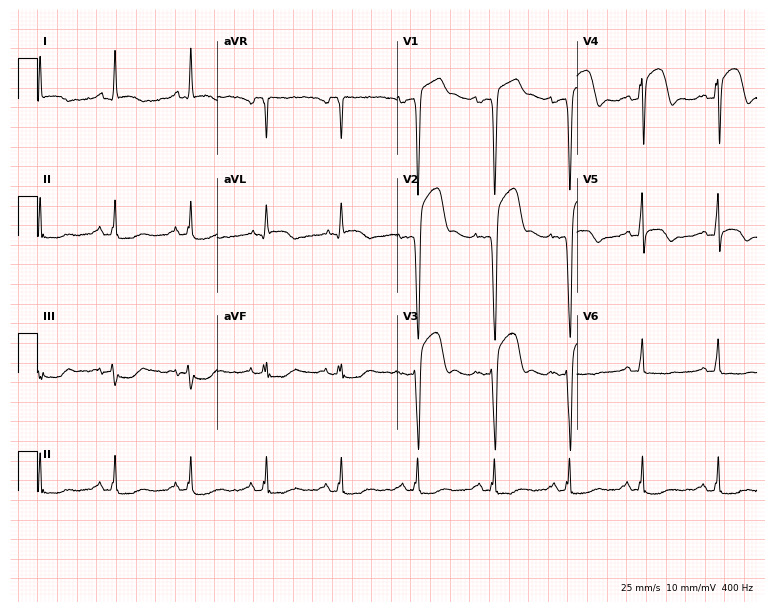
12-lead ECG from a 63-year-old man. Screened for six findings — first-degree AV block, right bundle branch block, left bundle branch block, sinus bradycardia, atrial fibrillation, sinus tachycardia — none is recorded.